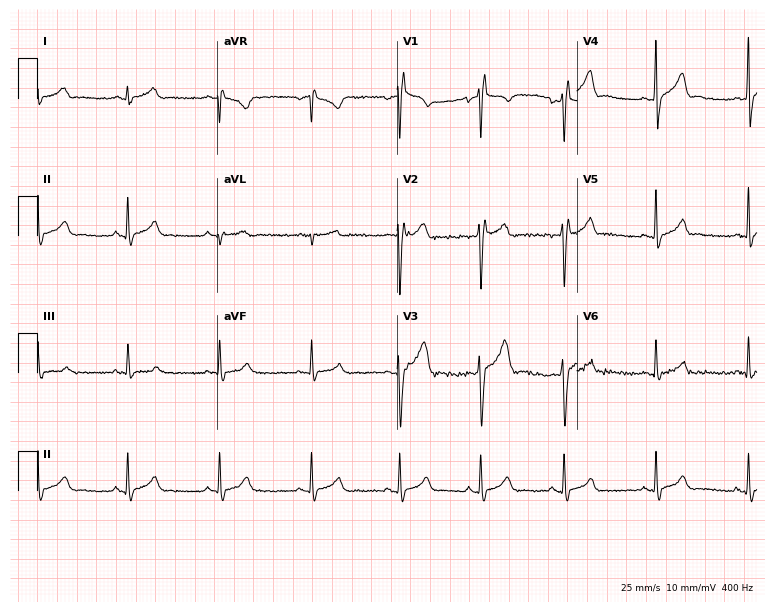
Resting 12-lead electrocardiogram. Patient: a 29-year-old male. None of these six findings is recorded: first-degree AV block, right bundle branch block, left bundle branch block, sinus bradycardia, atrial fibrillation, sinus tachycardia. Only these six findings were labelled.